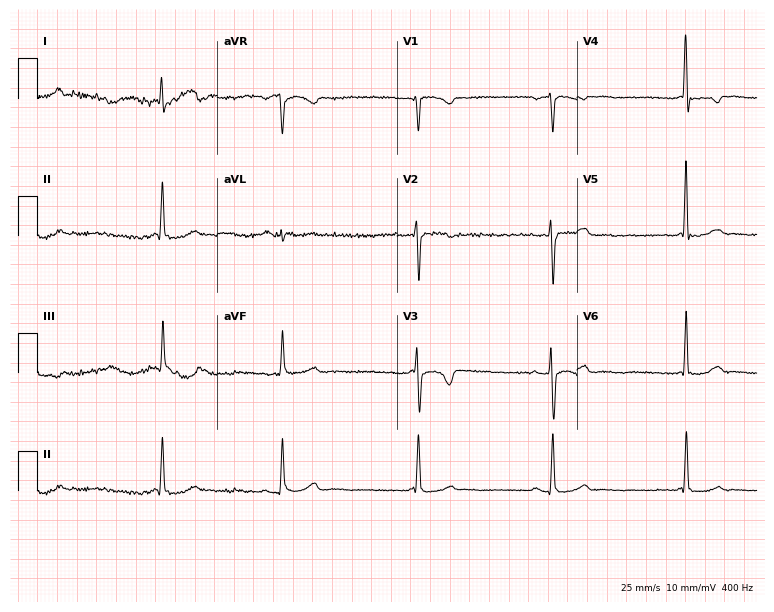
12-lead ECG from a 48-year-old female. No first-degree AV block, right bundle branch block, left bundle branch block, sinus bradycardia, atrial fibrillation or sinus tachycardia recorded for this tracing.